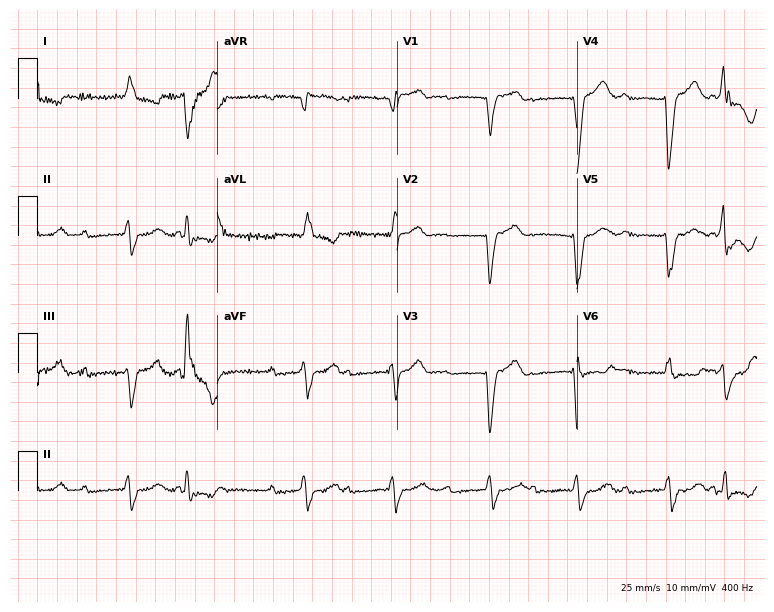
ECG (7.3-second recording at 400 Hz) — a 79-year-old female patient. Findings include first-degree AV block, left bundle branch block, atrial fibrillation.